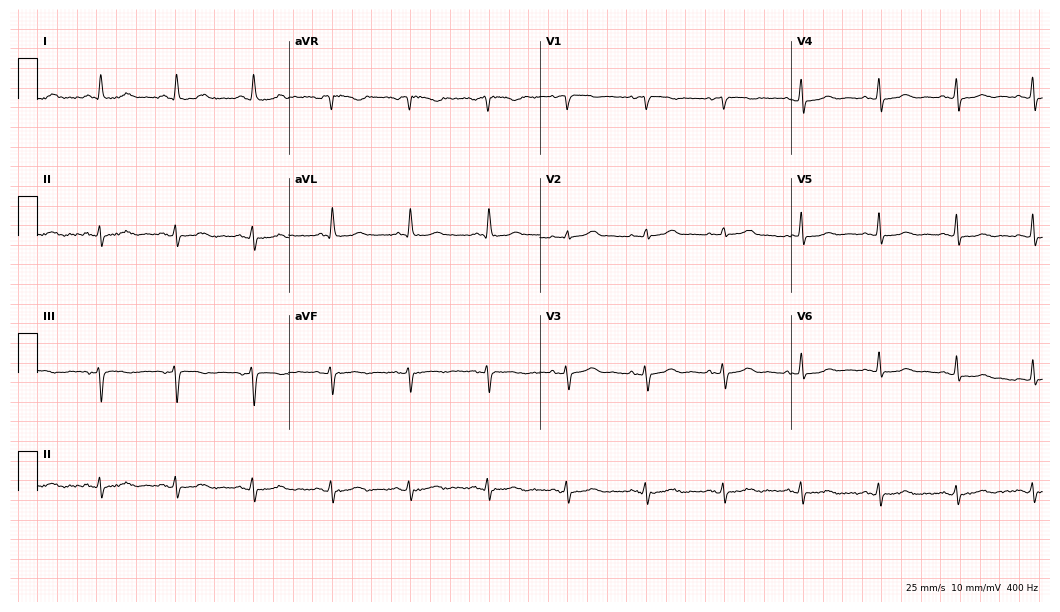
Standard 12-lead ECG recorded from a 68-year-old female patient. Read as a normal ECG.